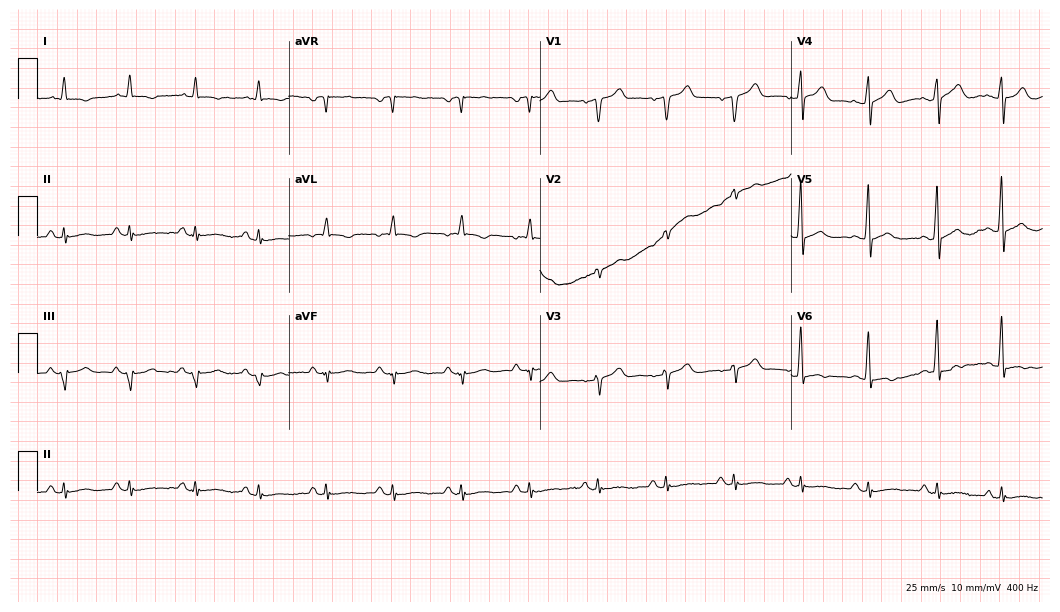
Resting 12-lead electrocardiogram. Patient: a 64-year-old man. None of these six findings is recorded: first-degree AV block, right bundle branch block (RBBB), left bundle branch block (LBBB), sinus bradycardia, atrial fibrillation (AF), sinus tachycardia. Other findings, if any, are not listed.